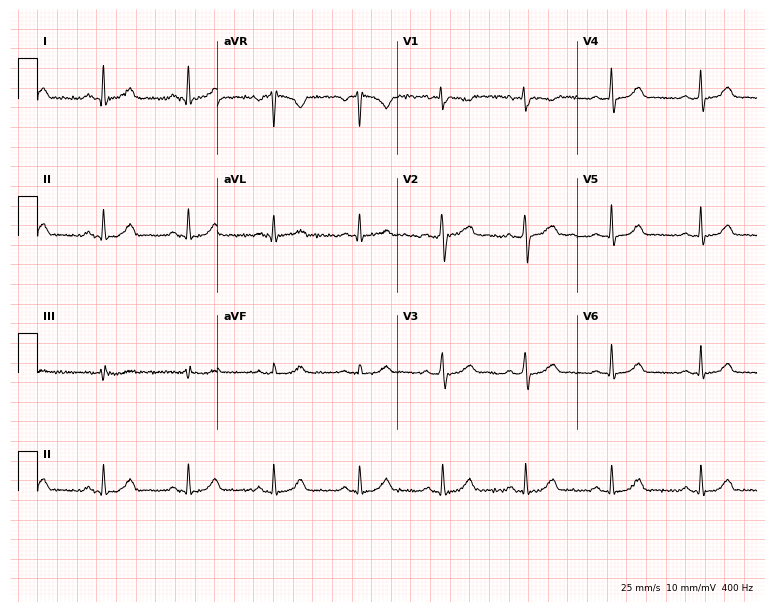
Electrocardiogram, a 37-year-old woman. Overall reading on record: normal ECG.